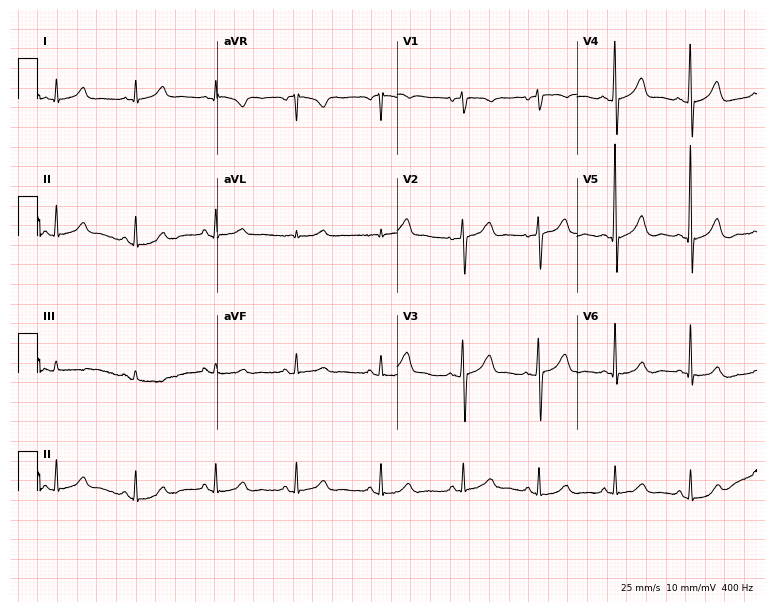
12-lead ECG (7.3-second recording at 400 Hz) from a female, 49 years old. Labelled as a normal ECG.